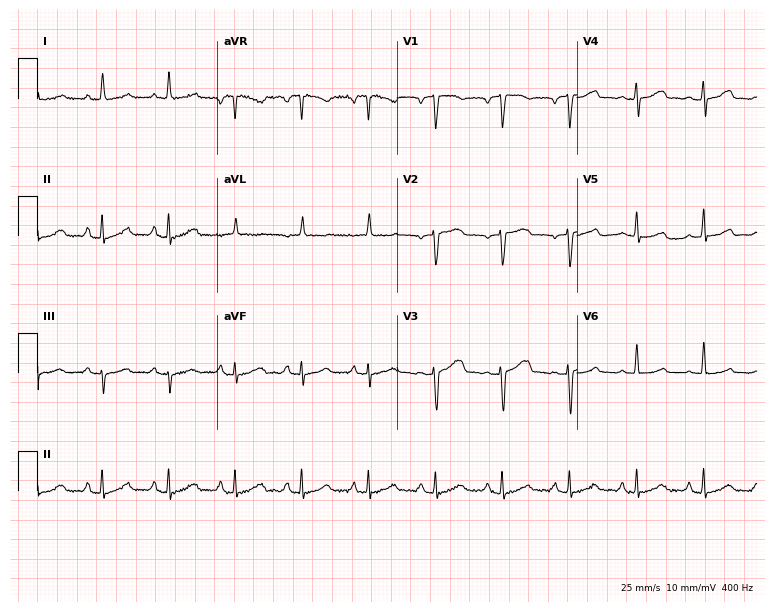
12-lead ECG from an 84-year-old woman (7.3-second recording at 400 Hz). Recorded interpretation: within normal limits.